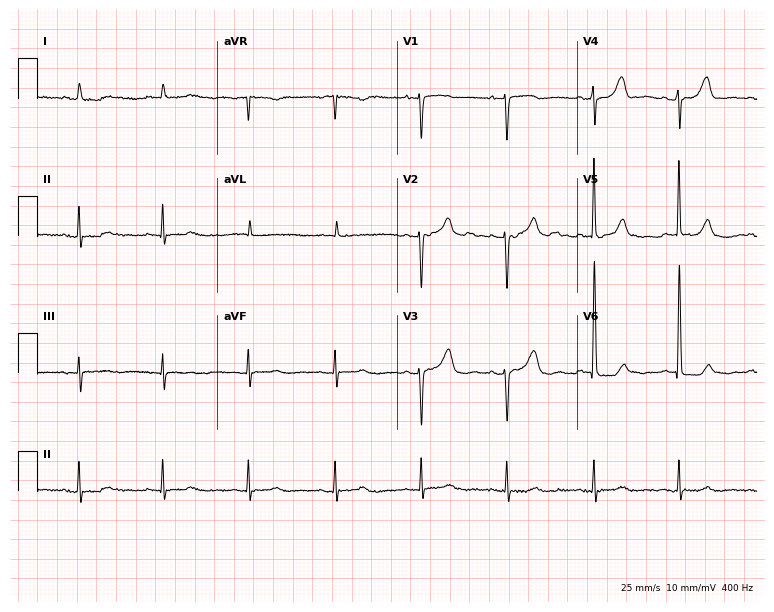
ECG — an 82-year-old female patient. Screened for six findings — first-degree AV block, right bundle branch block, left bundle branch block, sinus bradycardia, atrial fibrillation, sinus tachycardia — none is recorded.